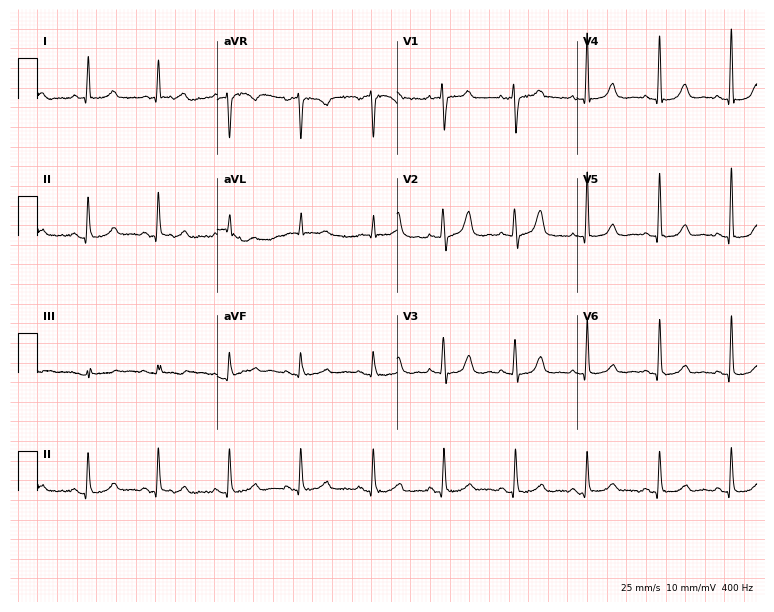
ECG — a woman, 77 years old. Labelled as a normal ECG.